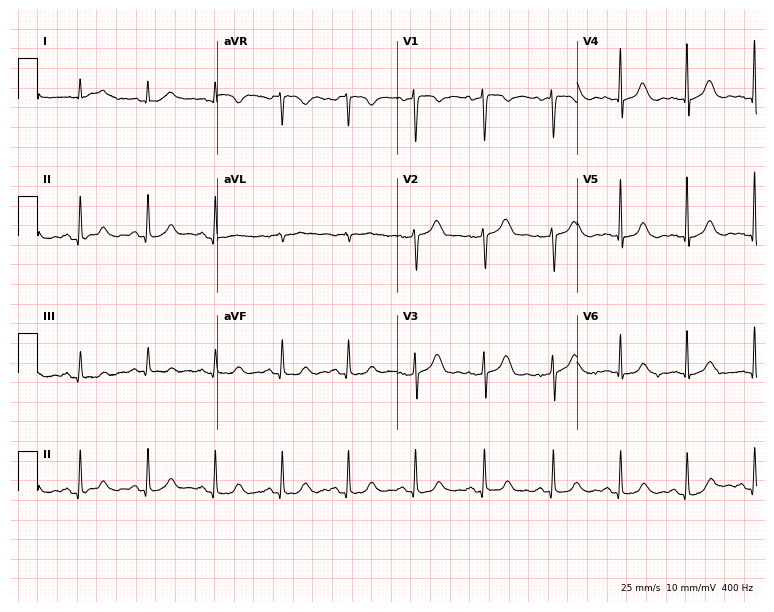
Resting 12-lead electrocardiogram (7.3-second recording at 400 Hz). Patient: a male, 71 years old. Read as a normal ECG.